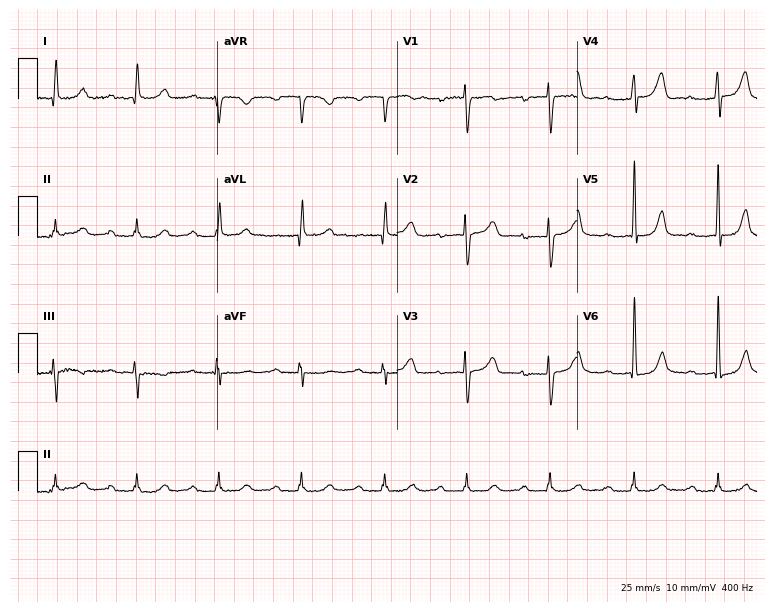
Electrocardiogram (7.3-second recording at 400 Hz), a woman, 58 years old. Of the six screened findings (first-degree AV block, right bundle branch block, left bundle branch block, sinus bradycardia, atrial fibrillation, sinus tachycardia), none is recorded.